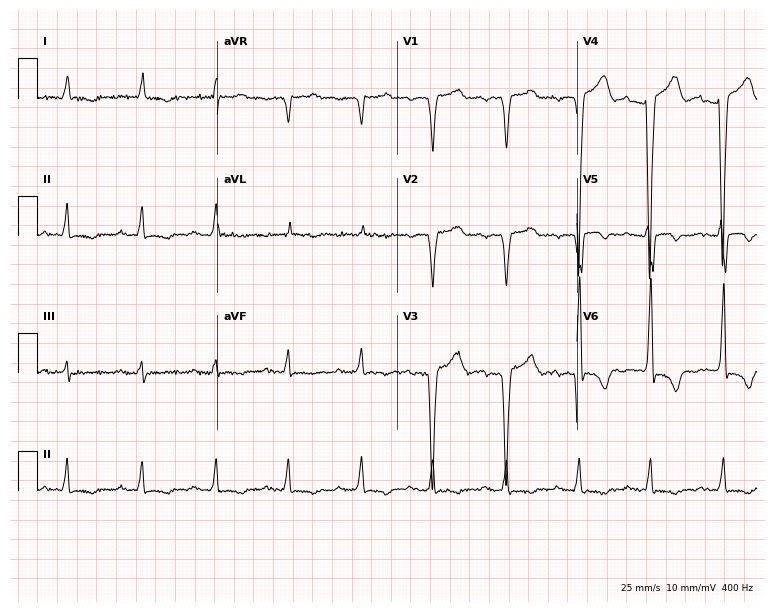
12-lead ECG from a 73-year-old man. Screened for six findings — first-degree AV block, right bundle branch block (RBBB), left bundle branch block (LBBB), sinus bradycardia, atrial fibrillation (AF), sinus tachycardia — none is recorded.